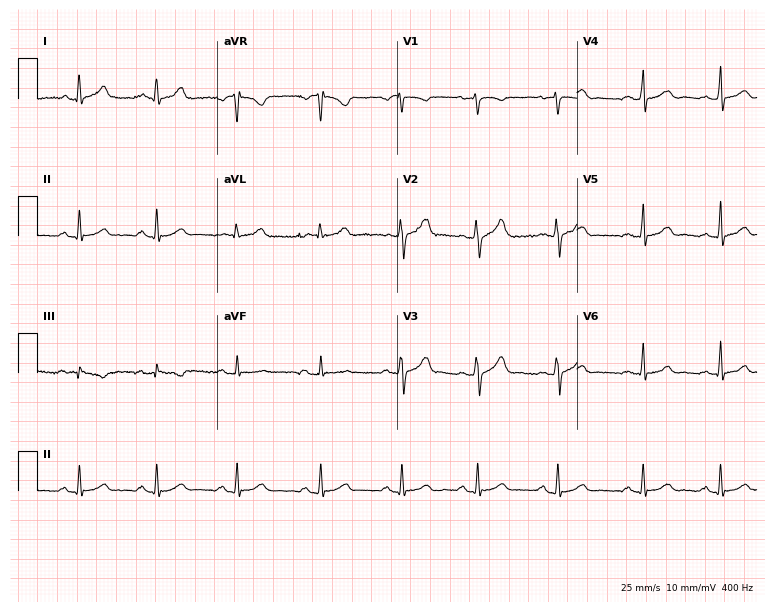
ECG (7.3-second recording at 400 Hz) — a 35-year-old female. Labelled as a normal ECG.